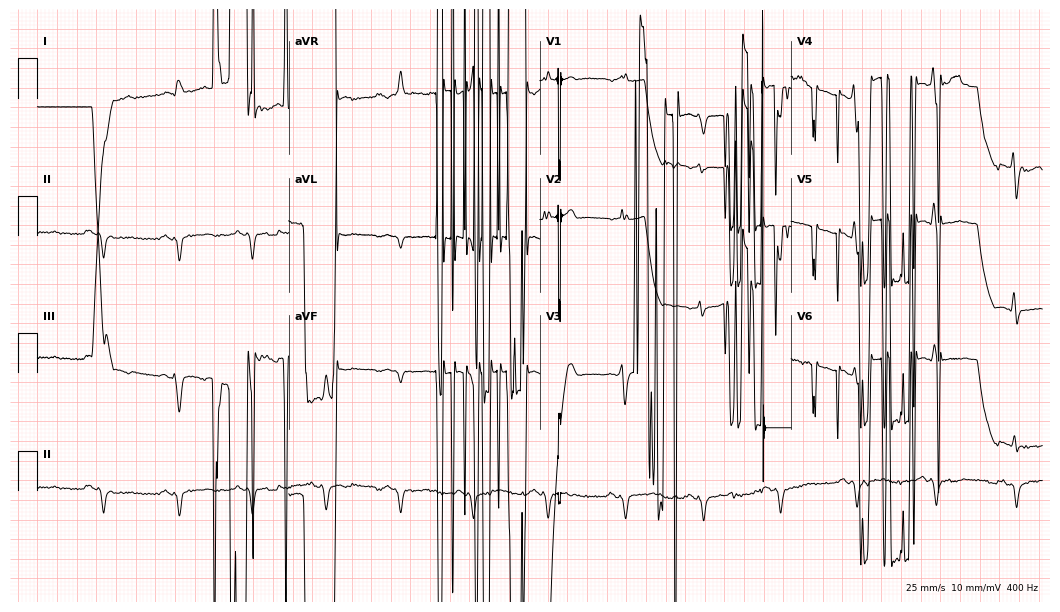
12-lead ECG from a 59-year-old man. No first-degree AV block, right bundle branch block, left bundle branch block, sinus bradycardia, atrial fibrillation or sinus tachycardia recorded for this tracing. Only these six findings were labelled.